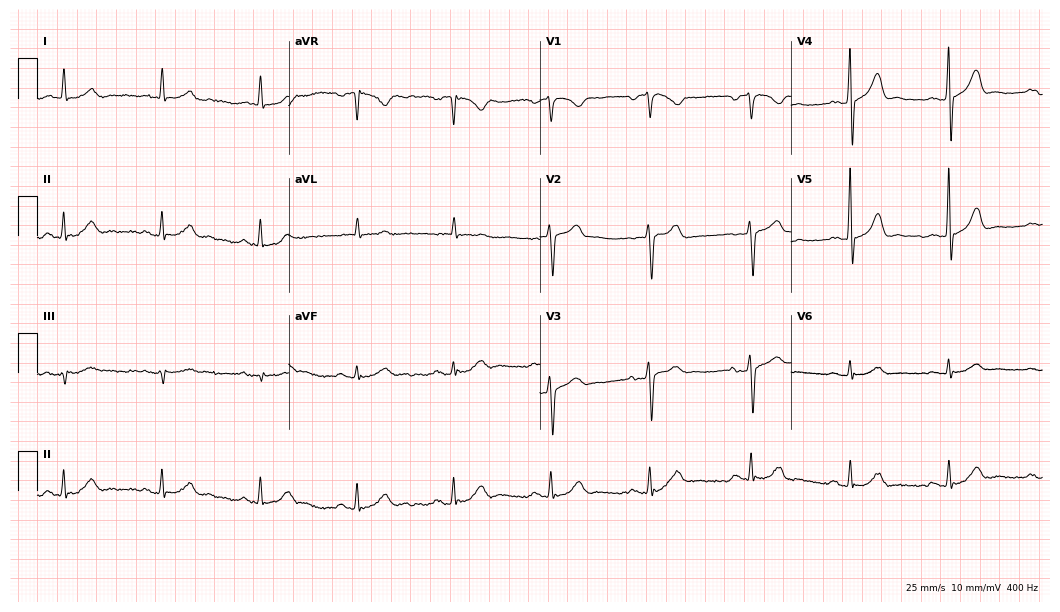
ECG (10.2-second recording at 400 Hz) — a 59-year-old male patient. Labelled as a normal ECG.